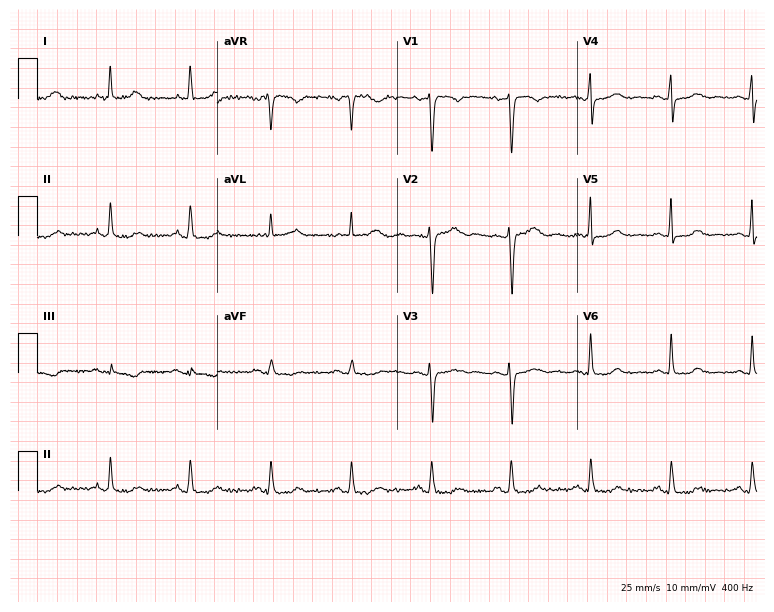
12-lead ECG from a 52-year-old female. No first-degree AV block, right bundle branch block, left bundle branch block, sinus bradycardia, atrial fibrillation or sinus tachycardia recorded for this tracing. Other findings, if any, are not listed.